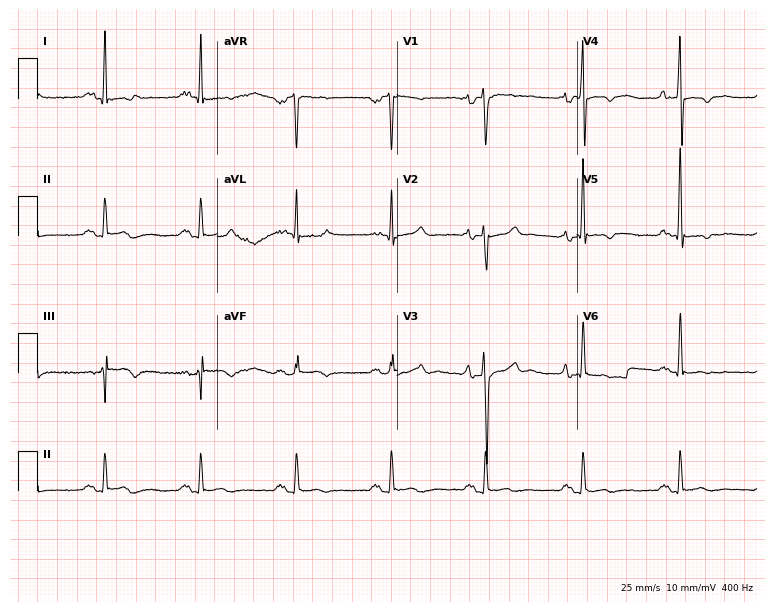
ECG (7.3-second recording at 400 Hz) — a man, 31 years old. Screened for six findings — first-degree AV block, right bundle branch block, left bundle branch block, sinus bradycardia, atrial fibrillation, sinus tachycardia — none is recorded. Findings outside these six are not listed.